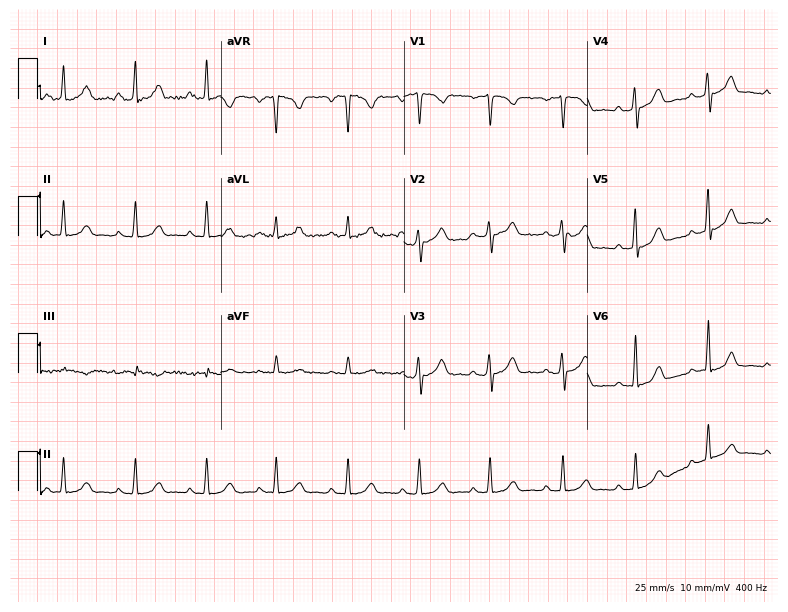
Standard 12-lead ECG recorded from a female patient, 27 years old (7.5-second recording at 400 Hz). Read as a normal ECG.